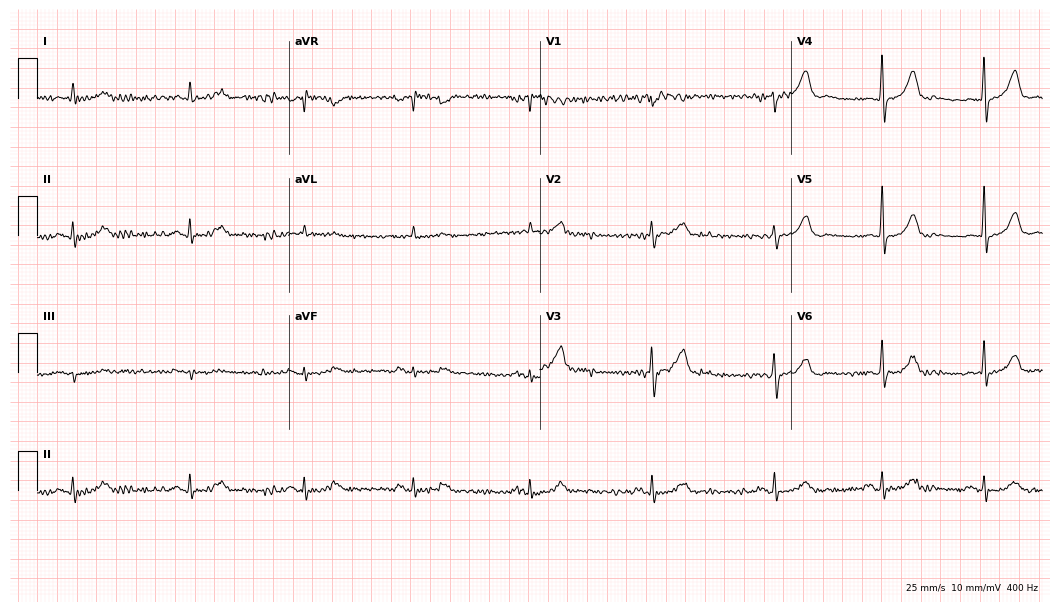
Standard 12-lead ECG recorded from a male, 72 years old. None of these six findings is recorded: first-degree AV block, right bundle branch block, left bundle branch block, sinus bradycardia, atrial fibrillation, sinus tachycardia. Other findings, if any, are not listed.